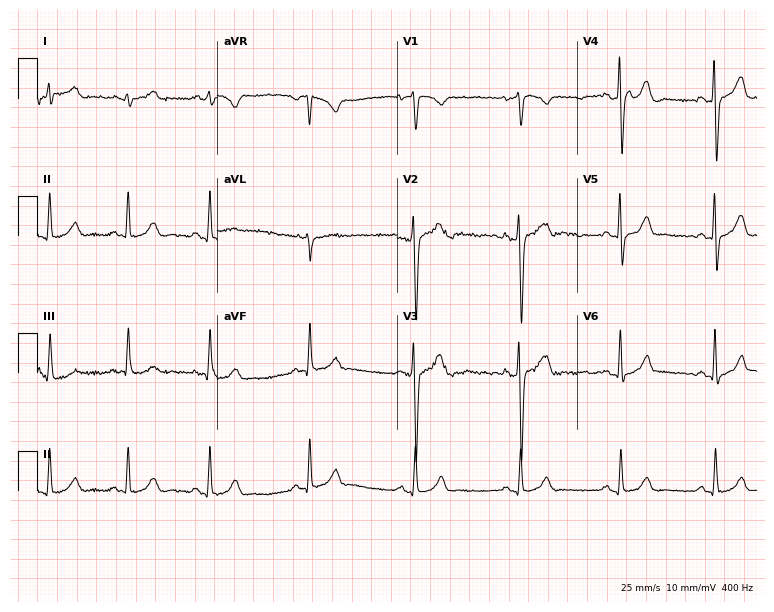
12-lead ECG from a male, 23 years old. Recorded interpretation: within normal limits.